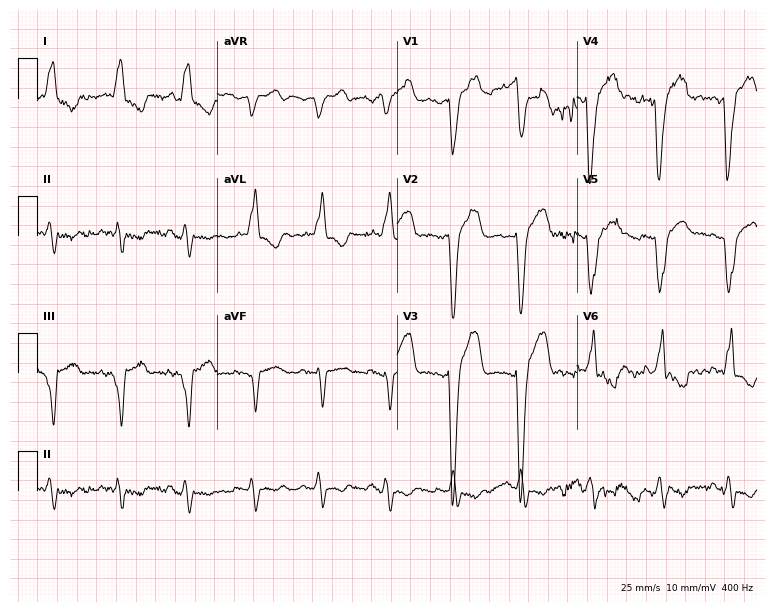
12-lead ECG (7.3-second recording at 400 Hz) from an 84-year-old male patient. Findings include left bundle branch block.